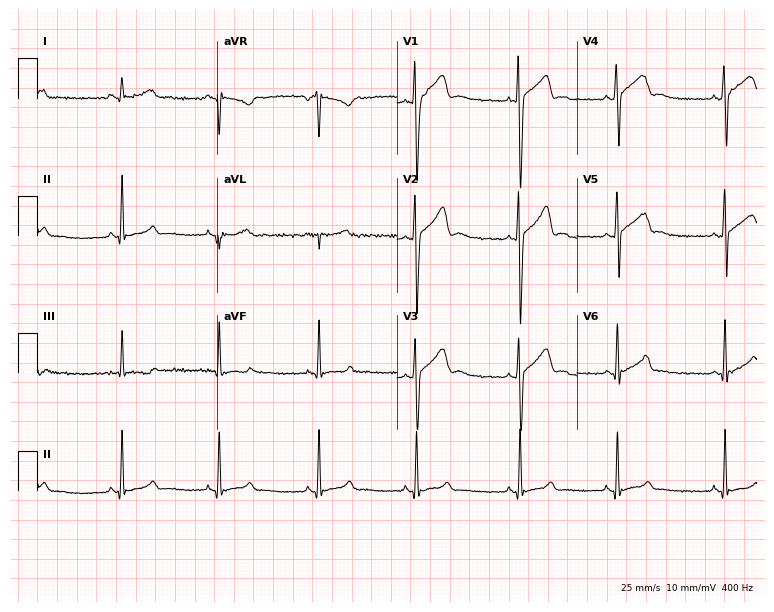
12-lead ECG from a 20-year-old man. Screened for six findings — first-degree AV block, right bundle branch block (RBBB), left bundle branch block (LBBB), sinus bradycardia, atrial fibrillation (AF), sinus tachycardia — none is recorded. Only these six findings were labelled.